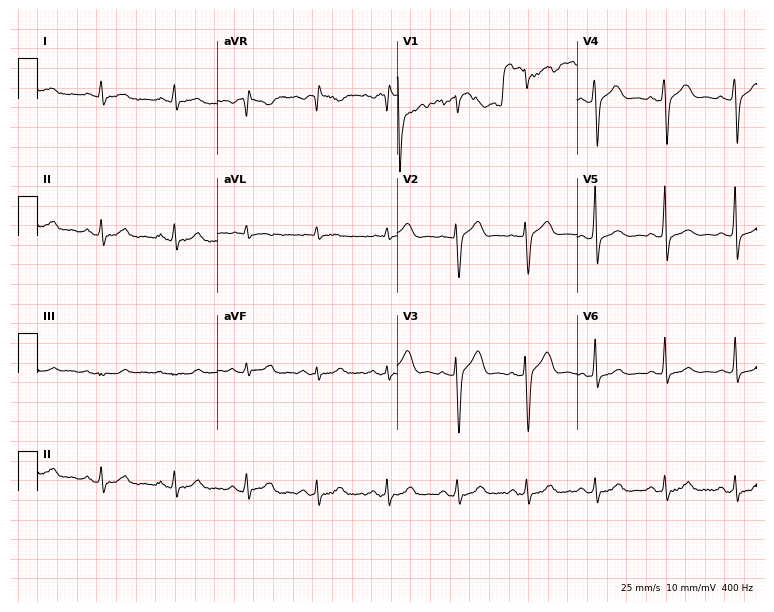
12-lead ECG (7.3-second recording at 400 Hz) from a man, 45 years old. Screened for six findings — first-degree AV block, right bundle branch block, left bundle branch block, sinus bradycardia, atrial fibrillation, sinus tachycardia — none is recorded.